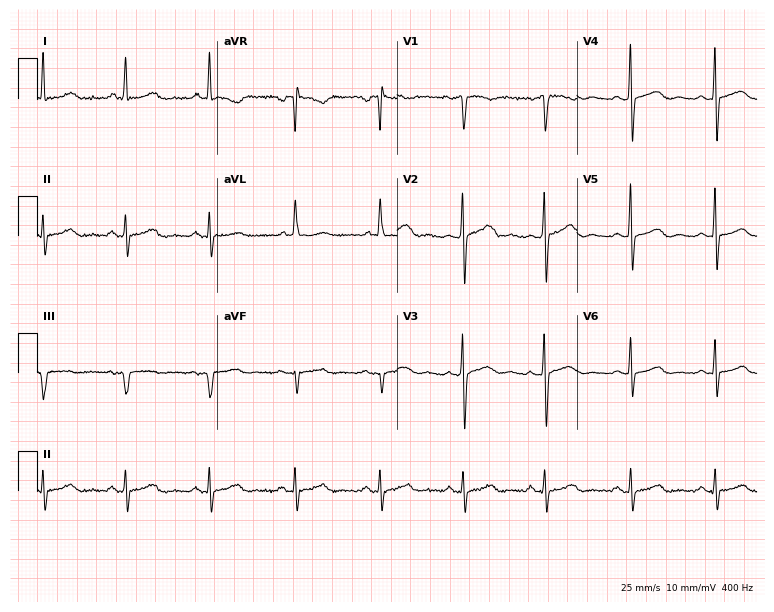
Resting 12-lead electrocardiogram. Patient: a woman, 59 years old. Read as a normal ECG.